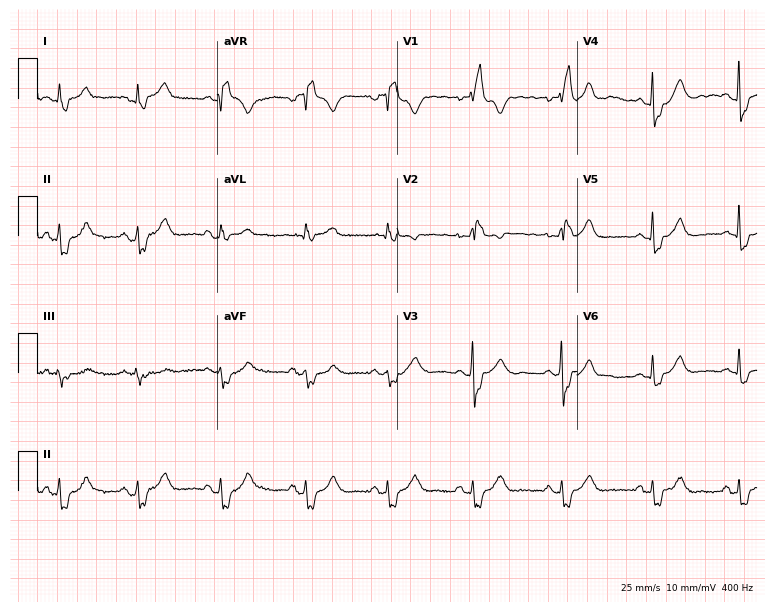
ECG — a 56-year-old female. Findings include right bundle branch block.